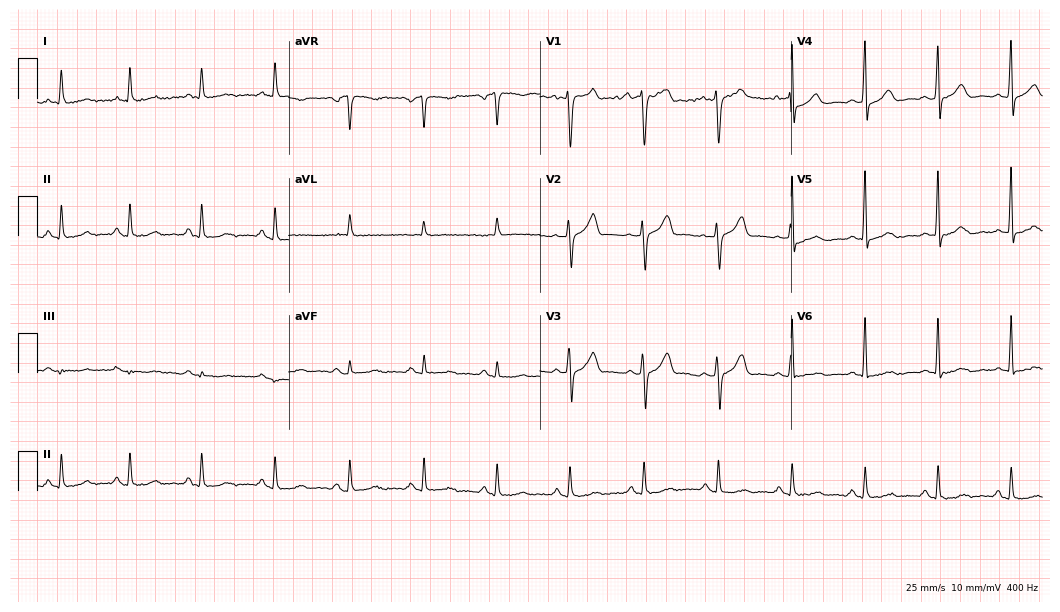
Electrocardiogram, a male patient, 50 years old. Overall reading on record: normal ECG.